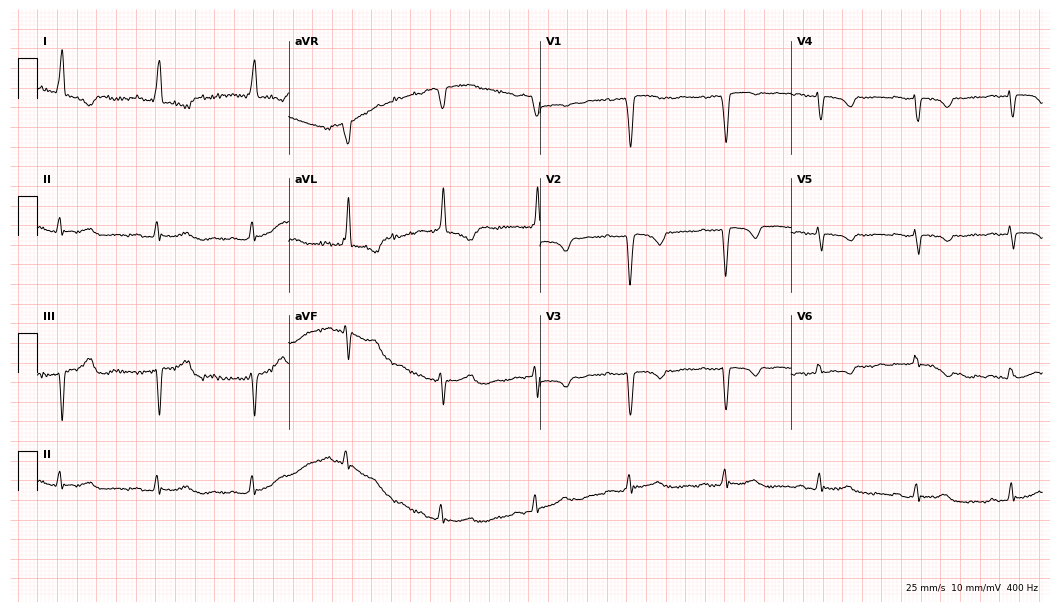
ECG — a female, 85 years old. Screened for six findings — first-degree AV block, right bundle branch block, left bundle branch block, sinus bradycardia, atrial fibrillation, sinus tachycardia — none is recorded. Findings outside these six are not listed.